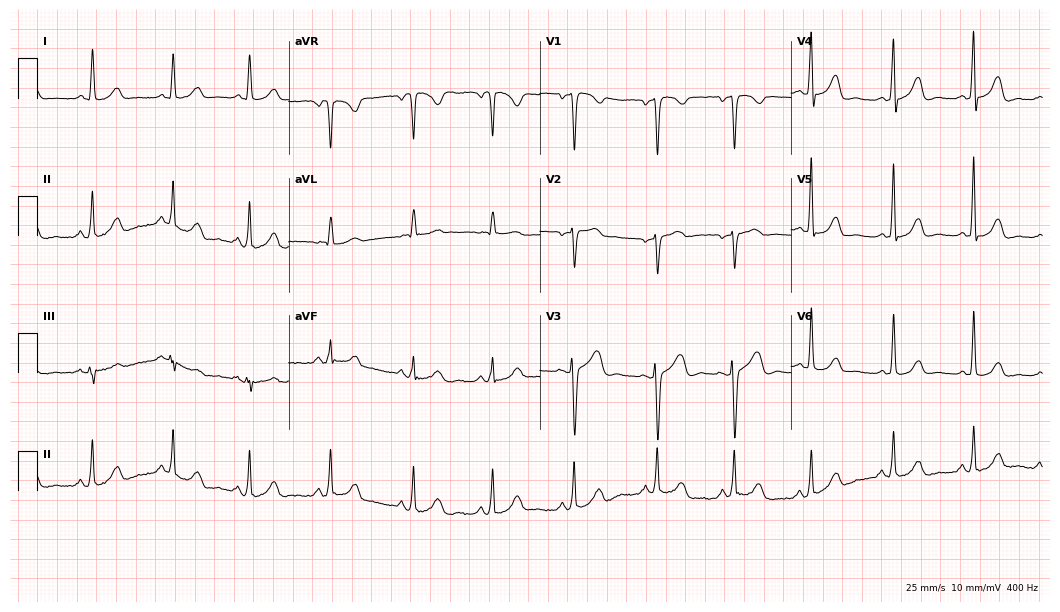
ECG (10.2-second recording at 400 Hz) — a woman, 50 years old. Labelled as a normal ECG.